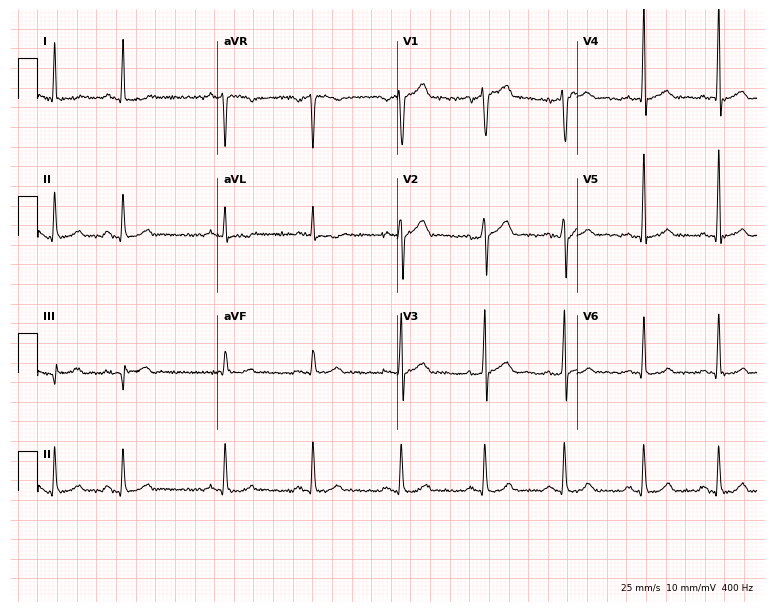
ECG (7.3-second recording at 400 Hz) — a 39-year-old male patient. Labelled as a normal ECG.